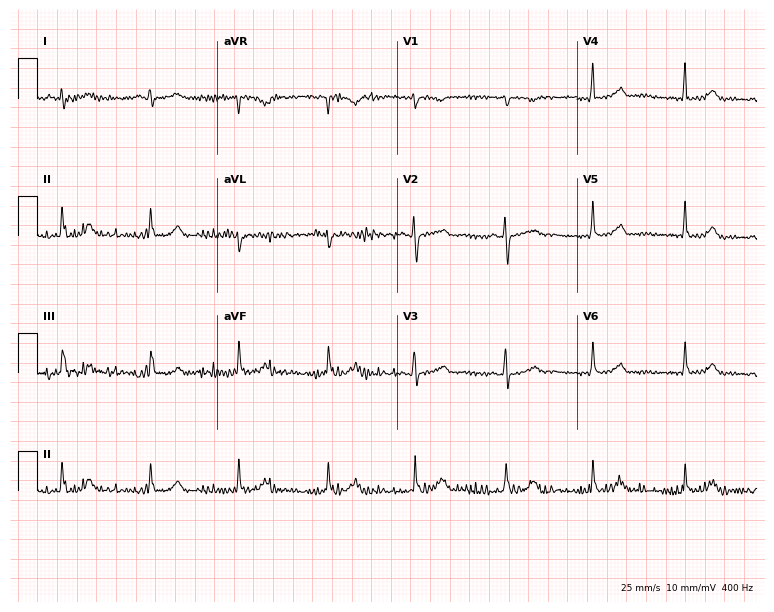
ECG (7.3-second recording at 400 Hz) — a female patient, 49 years old. Screened for six findings — first-degree AV block, right bundle branch block (RBBB), left bundle branch block (LBBB), sinus bradycardia, atrial fibrillation (AF), sinus tachycardia — none is recorded.